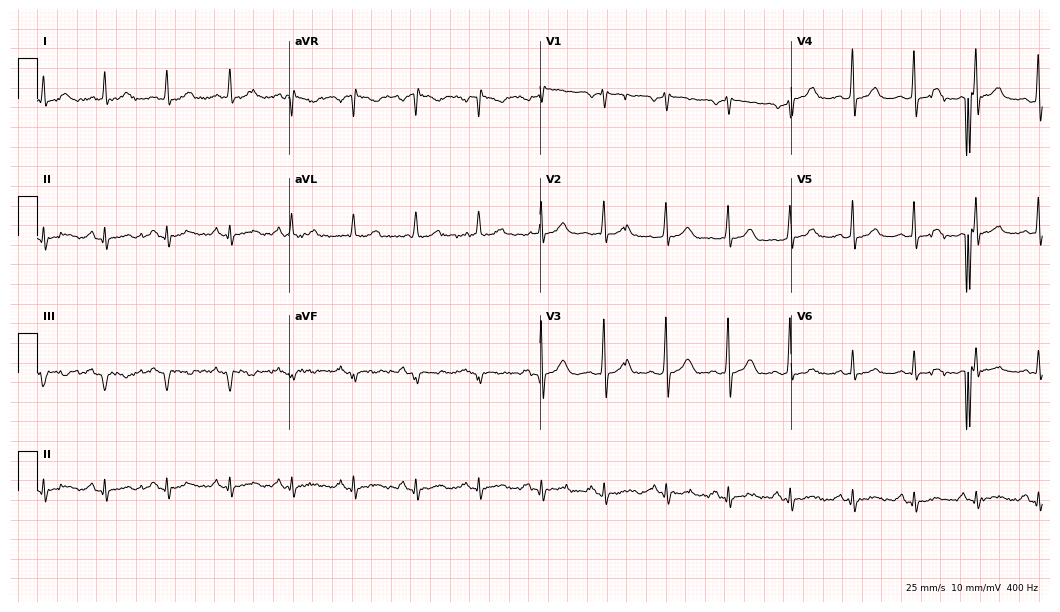
Standard 12-lead ECG recorded from a 65-year-old man (10.2-second recording at 400 Hz). Read as a normal ECG.